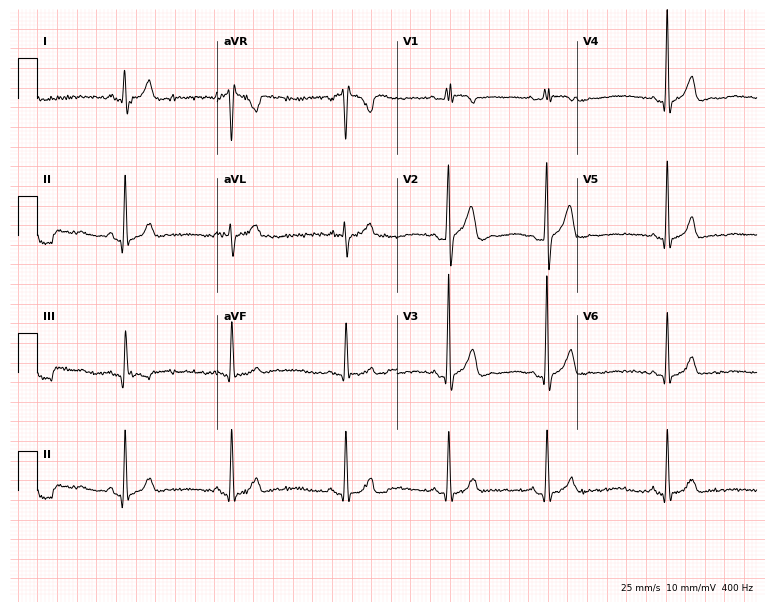
Resting 12-lead electrocardiogram (7.3-second recording at 400 Hz). Patient: a male, 25 years old. None of these six findings is recorded: first-degree AV block, right bundle branch block, left bundle branch block, sinus bradycardia, atrial fibrillation, sinus tachycardia. Only these six findings were labelled.